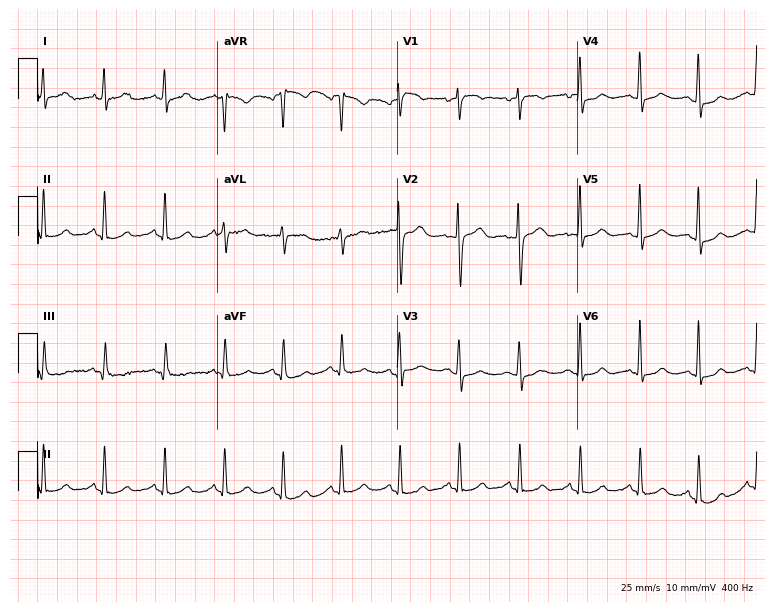
Standard 12-lead ECG recorded from a 51-year-old woman (7.3-second recording at 400 Hz). Read as a normal ECG.